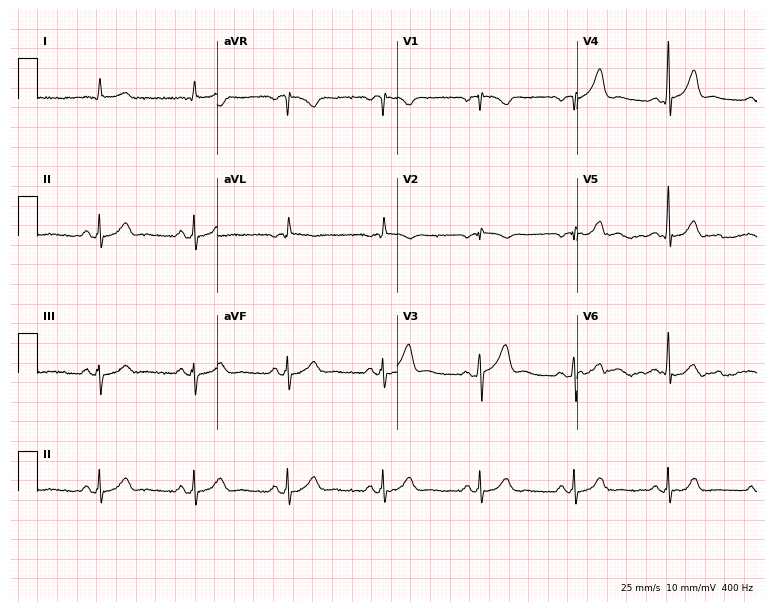
Electrocardiogram (7.3-second recording at 400 Hz), a man, 71 years old. Of the six screened findings (first-degree AV block, right bundle branch block, left bundle branch block, sinus bradycardia, atrial fibrillation, sinus tachycardia), none is recorded.